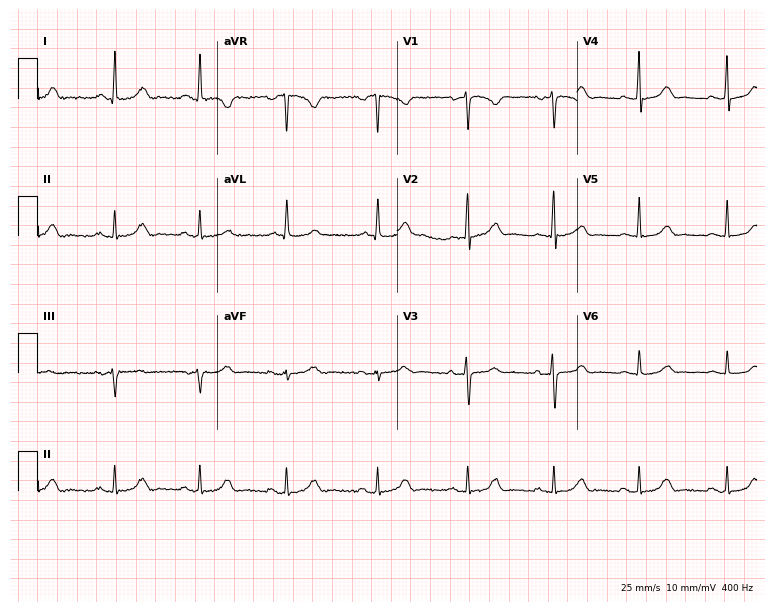
ECG (7.3-second recording at 400 Hz) — a female, 53 years old. Labelled as a normal ECG.